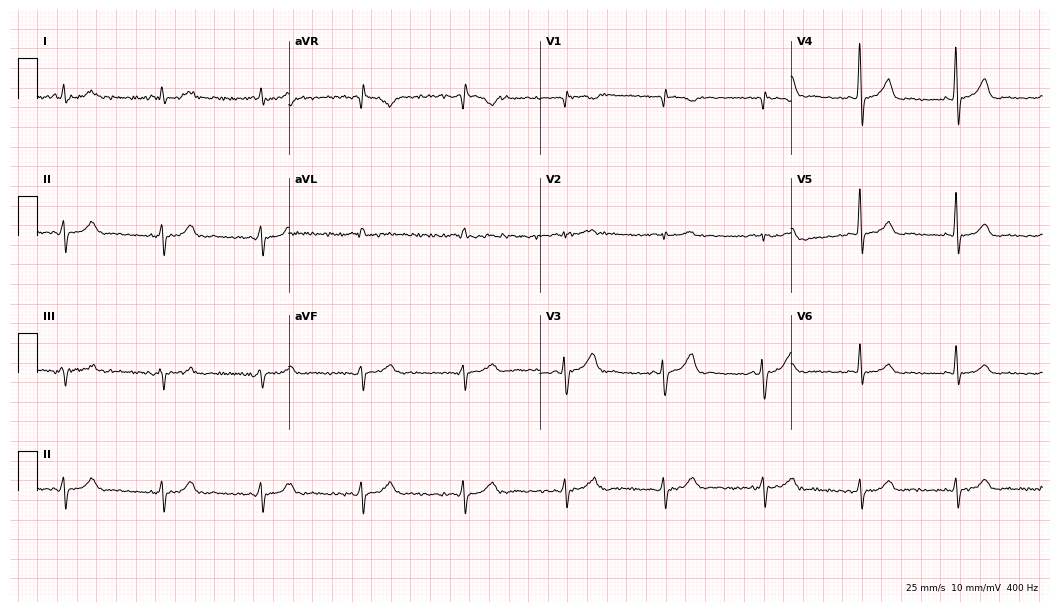
12-lead ECG from a male patient, 59 years old. Screened for six findings — first-degree AV block, right bundle branch block, left bundle branch block, sinus bradycardia, atrial fibrillation, sinus tachycardia — none is recorded. Findings outside these six are not listed.